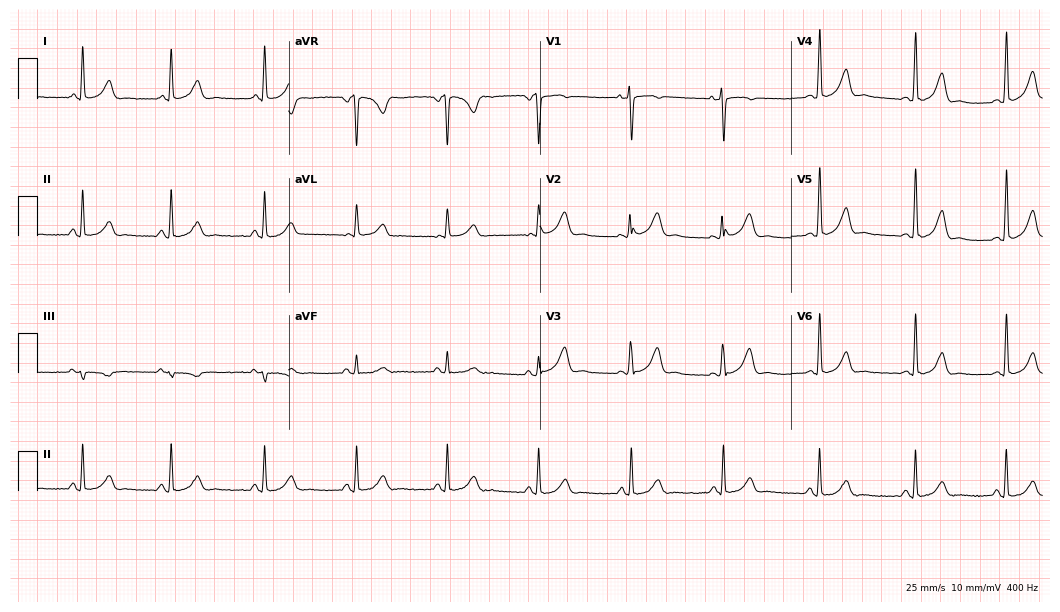
12-lead ECG (10.2-second recording at 400 Hz) from a 37-year-old female. Labelled as a normal ECG.